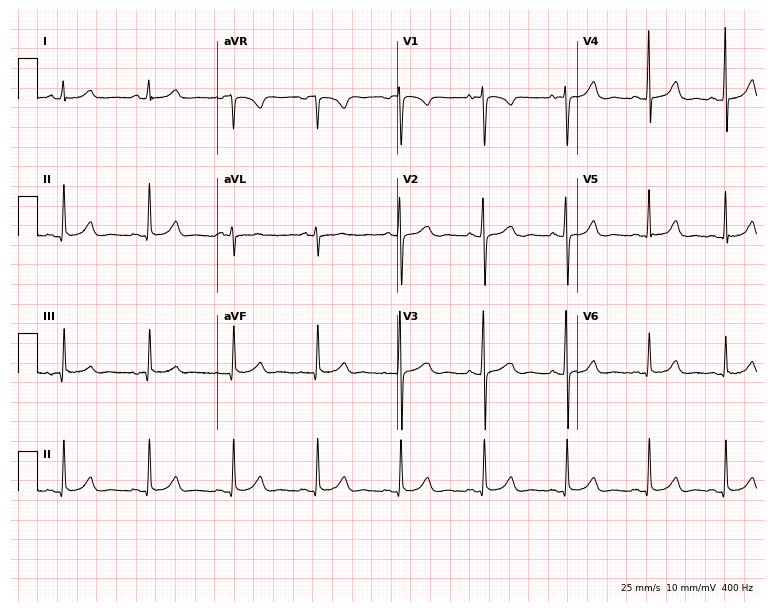
12-lead ECG from a woman, 17 years old. No first-degree AV block, right bundle branch block (RBBB), left bundle branch block (LBBB), sinus bradycardia, atrial fibrillation (AF) or sinus tachycardia recorded for this tracing. Other findings, if any, are not listed.